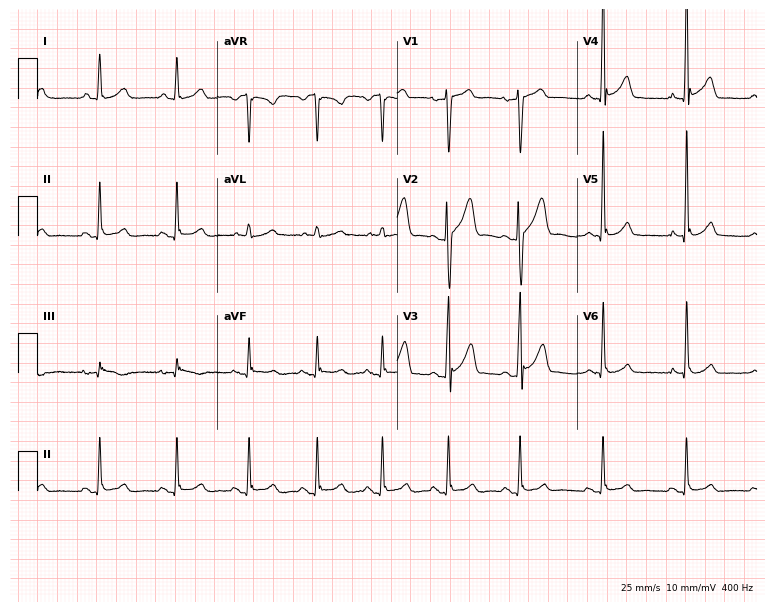
12-lead ECG (7.3-second recording at 400 Hz) from a male, 35 years old. Labelled as a normal ECG.